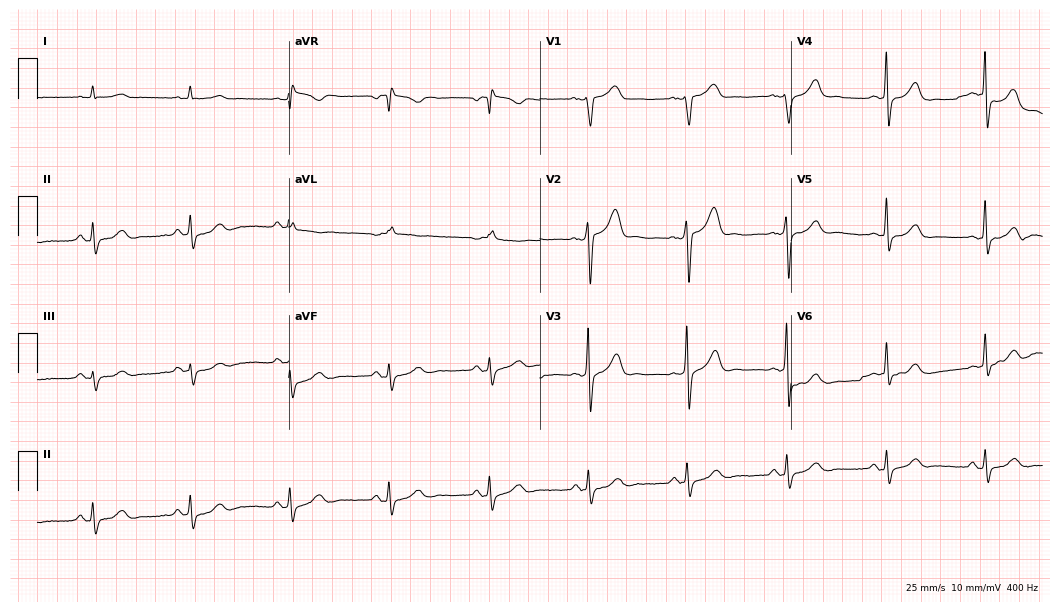
Standard 12-lead ECG recorded from a male patient, 61 years old (10.2-second recording at 400 Hz). None of these six findings is recorded: first-degree AV block, right bundle branch block, left bundle branch block, sinus bradycardia, atrial fibrillation, sinus tachycardia. Other findings, if any, are not listed.